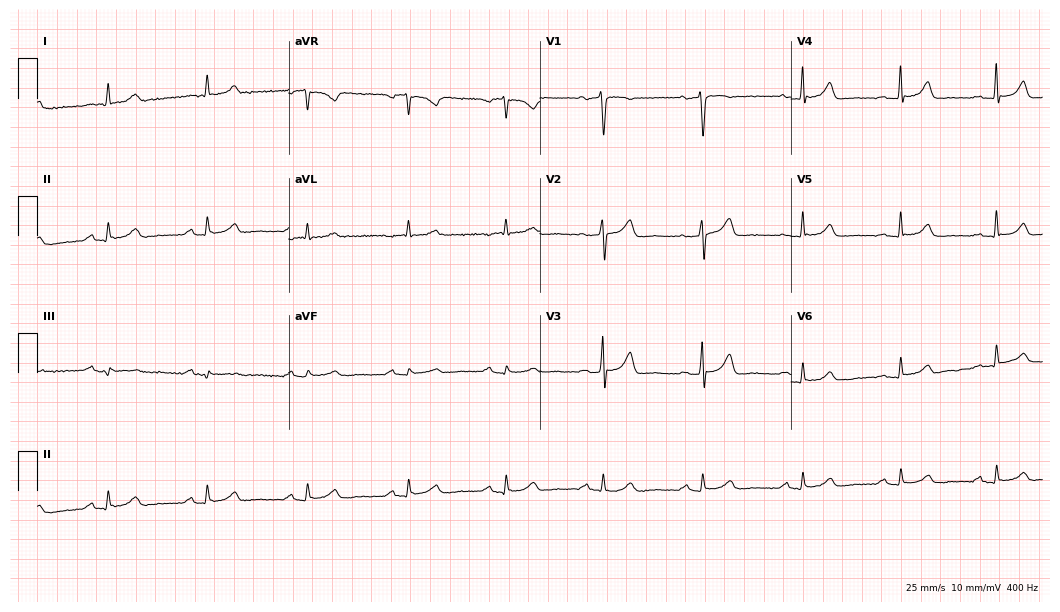
Standard 12-lead ECG recorded from a male patient, 66 years old. Read as a normal ECG.